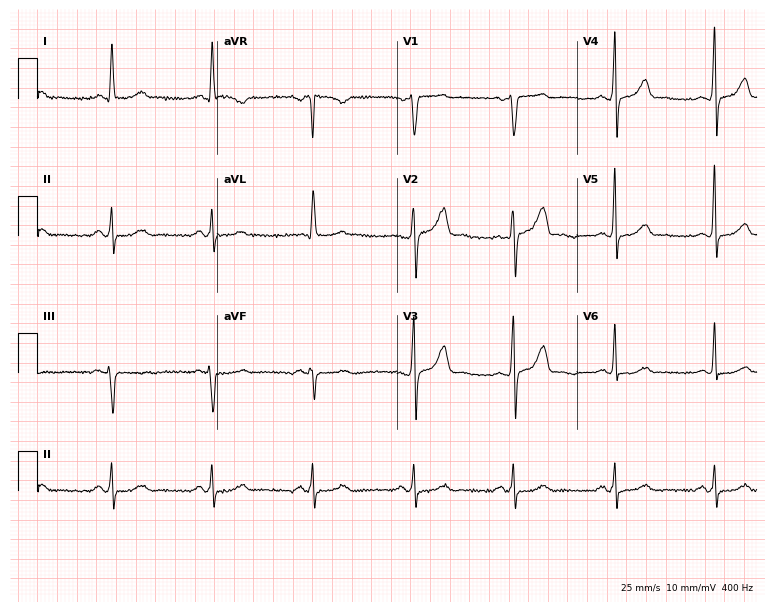
ECG — a 56-year-old man. Labelled as a normal ECG.